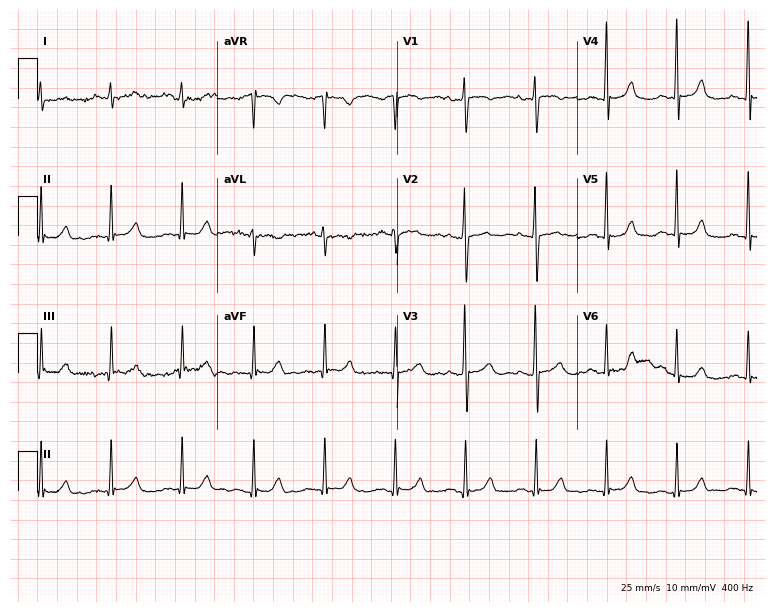
12-lead ECG from a 28-year-old woman. Labelled as a normal ECG.